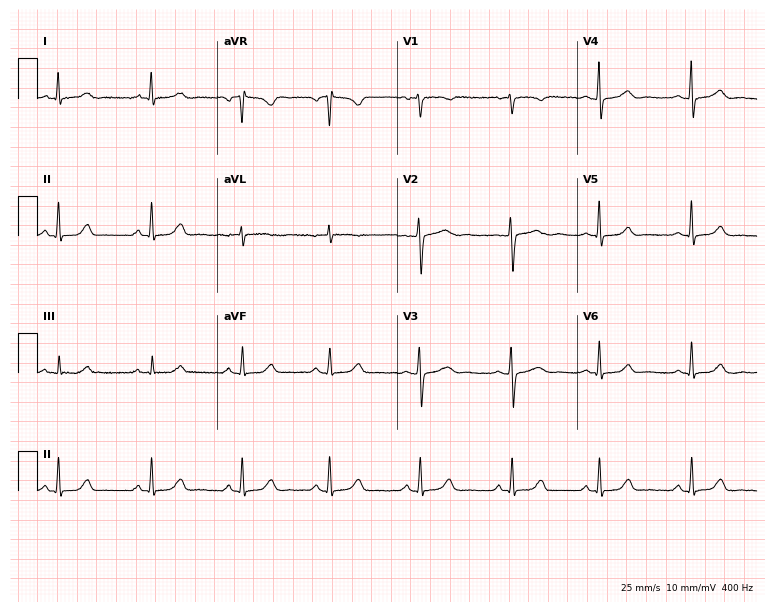
Resting 12-lead electrocardiogram. Patient: a 38-year-old female. Read as a normal ECG.